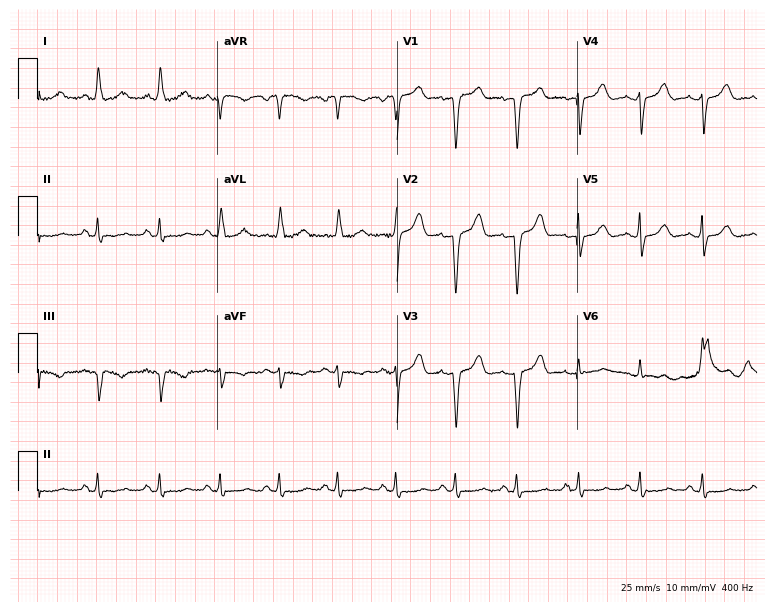
Standard 12-lead ECG recorded from an 85-year-old woman. None of these six findings is recorded: first-degree AV block, right bundle branch block (RBBB), left bundle branch block (LBBB), sinus bradycardia, atrial fibrillation (AF), sinus tachycardia. Other findings, if any, are not listed.